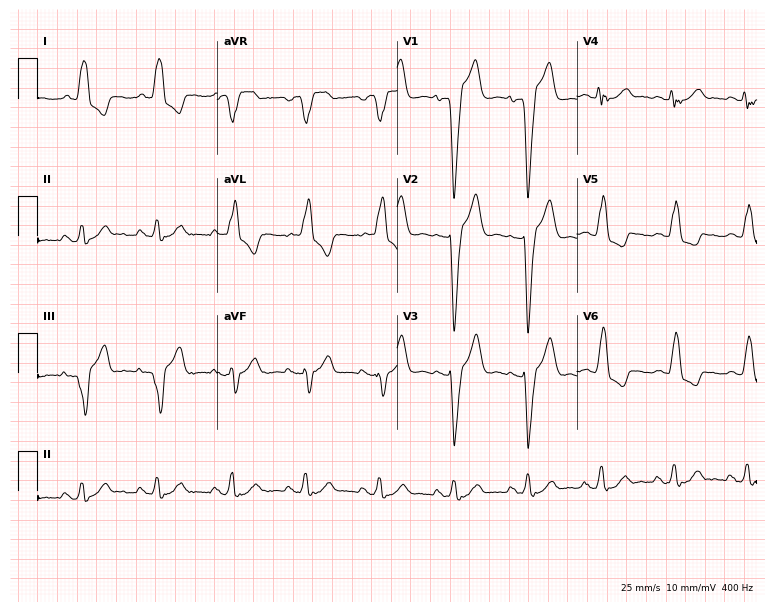
Resting 12-lead electrocardiogram. Patient: a 75-year-old woman. The tracing shows left bundle branch block.